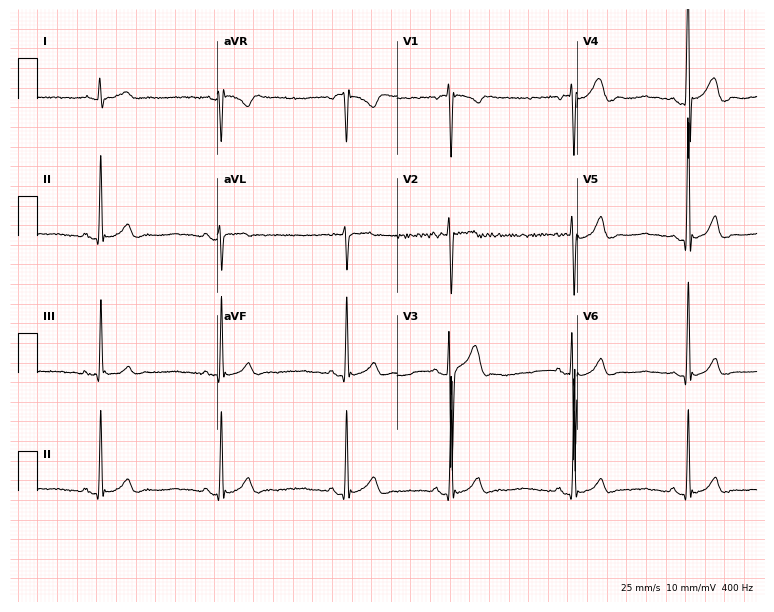
Standard 12-lead ECG recorded from a man, 20 years old (7.3-second recording at 400 Hz). The tracing shows sinus bradycardia (a sinus rate of 50 beats per minute or less).